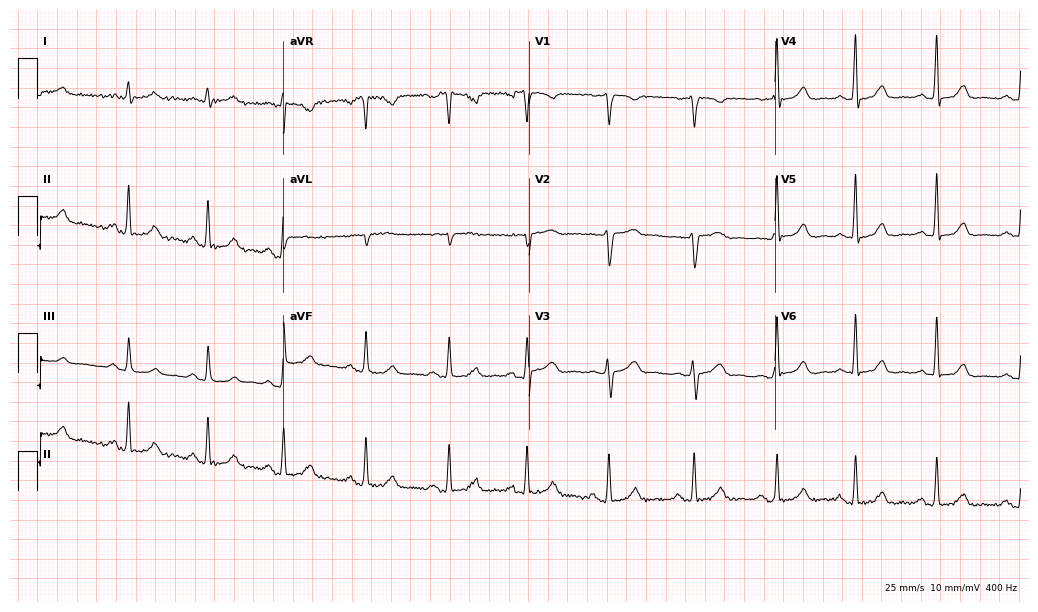
Standard 12-lead ECG recorded from a 43-year-old female. Read as a normal ECG.